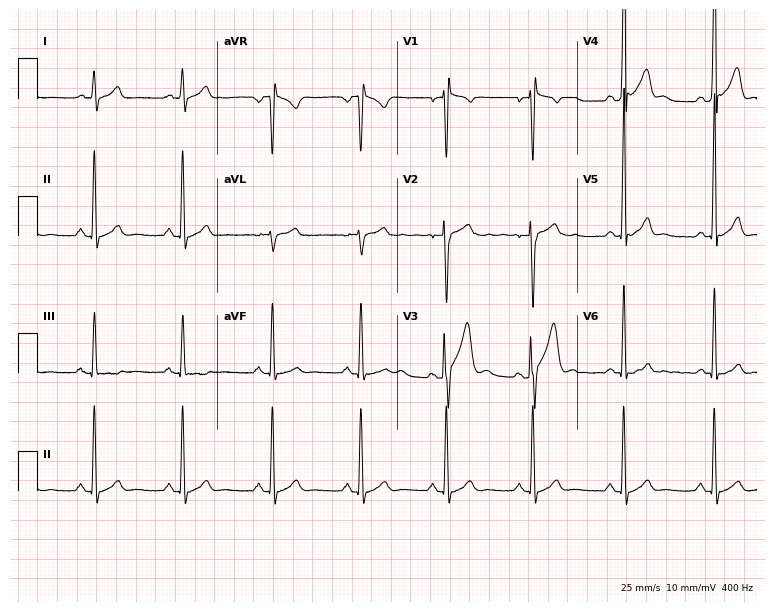
ECG — a 20-year-old male. Labelled as a normal ECG.